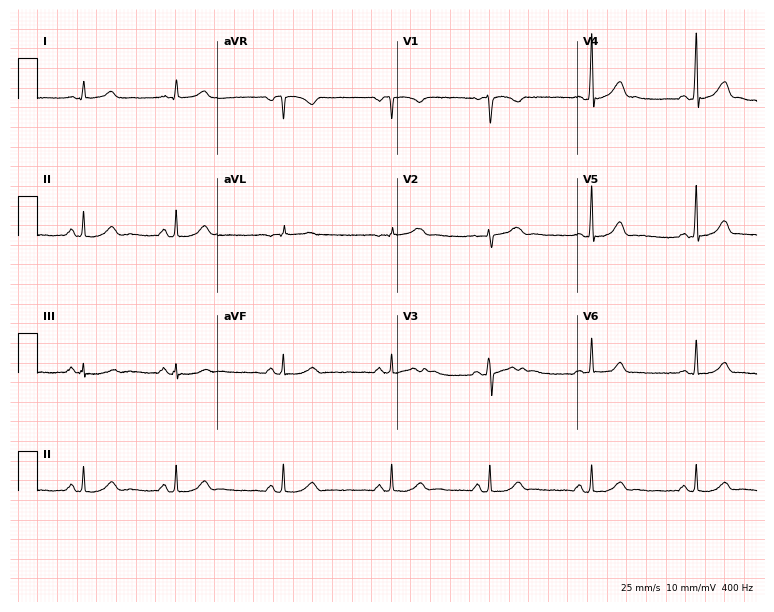
Resting 12-lead electrocardiogram. Patient: a 29-year-old female. None of these six findings is recorded: first-degree AV block, right bundle branch block, left bundle branch block, sinus bradycardia, atrial fibrillation, sinus tachycardia. Other findings, if any, are not listed.